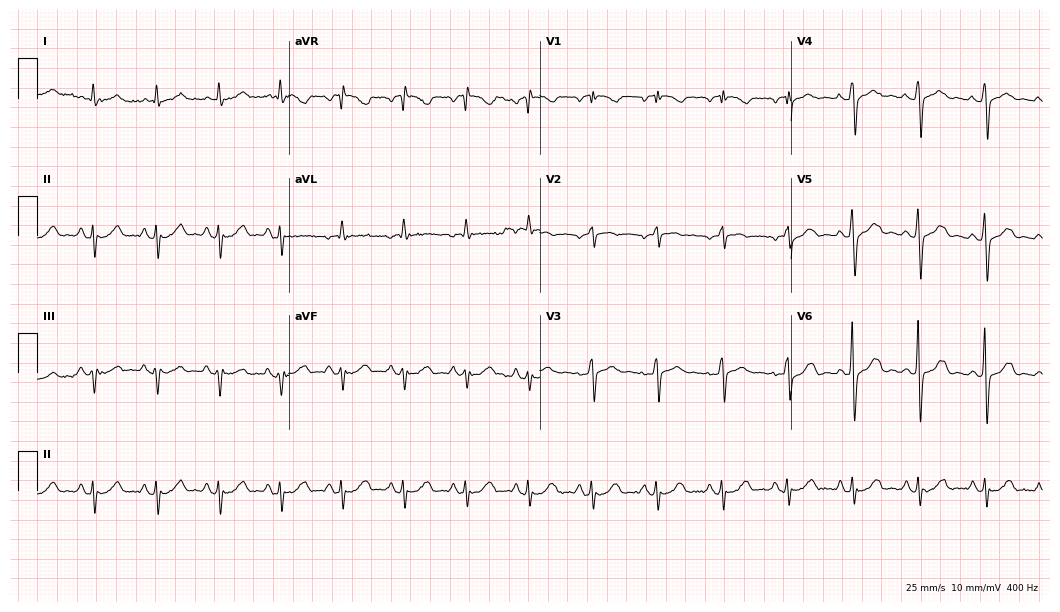
12-lead ECG from a female, 82 years old. Screened for six findings — first-degree AV block, right bundle branch block (RBBB), left bundle branch block (LBBB), sinus bradycardia, atrial fibrillation (AF), sinus tachycardia — none is recorded. Findings outside these six are not listed.